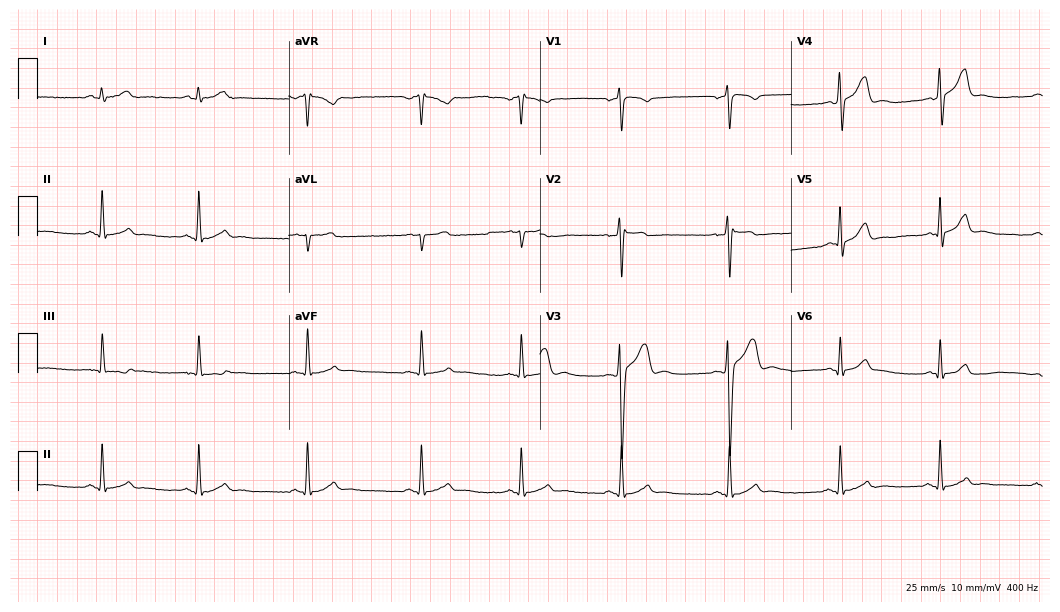
Electrocardiogram (10.2-second recording at 400 Hz), a man, 24 years old. Of the six screened findings (first-degree AV block, right bundle branch block (RBBB), left bundle branch block (LBBB), sinus bradycardia, atrial fibrillation (AF), sinus tachycardia), none is recorded. Only these six findings were labelled.